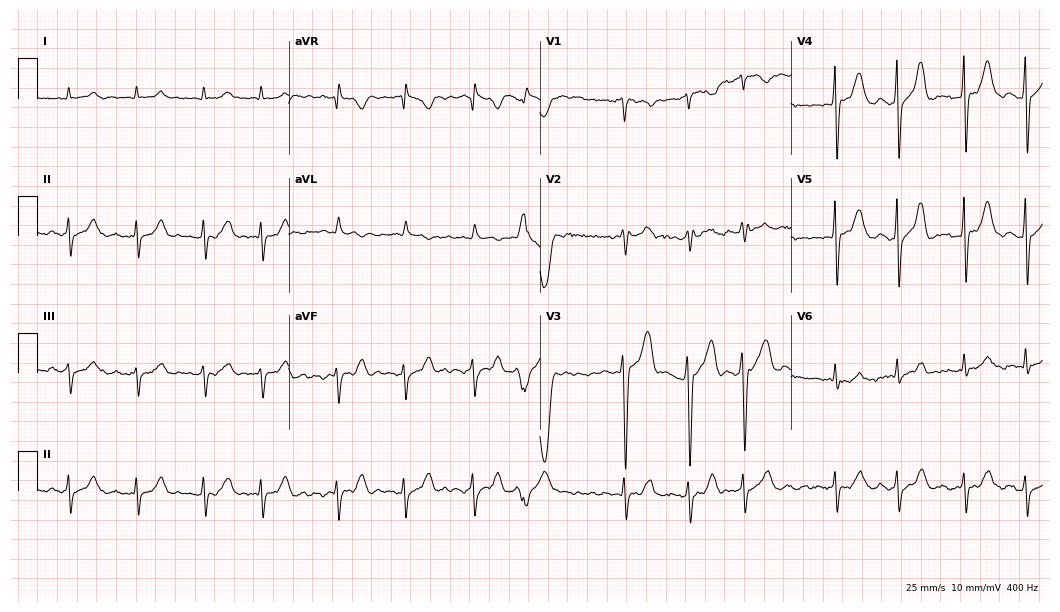
Standard 12-lead ECG recorded from a male patient, 79 years old. The tracing shows atrial fibrillation.